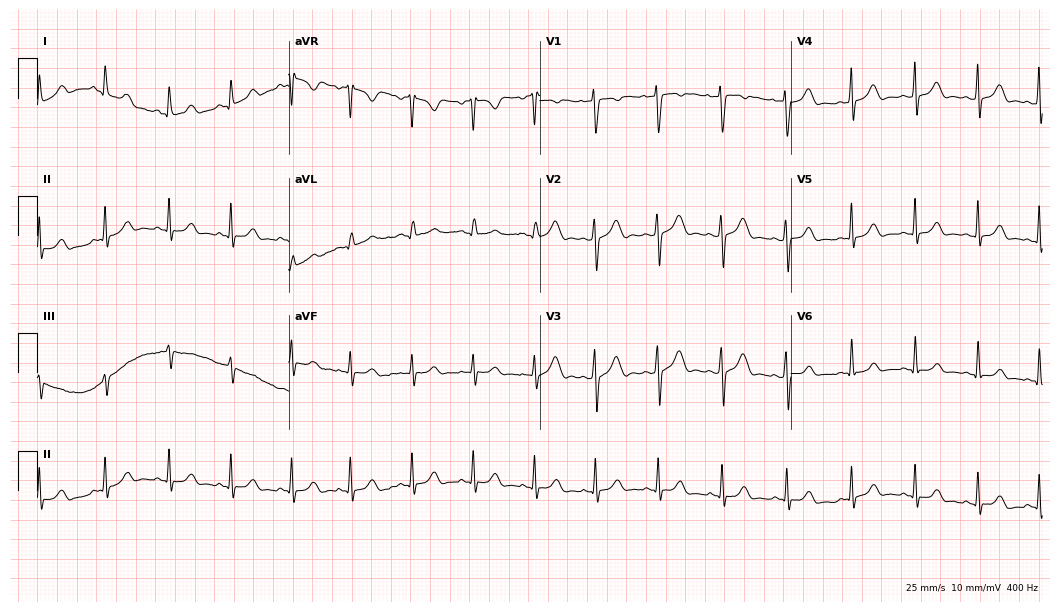
Resting 12-lead electrocardiogram. Patient: an 18-year-old woman. Read as a normal ECG.